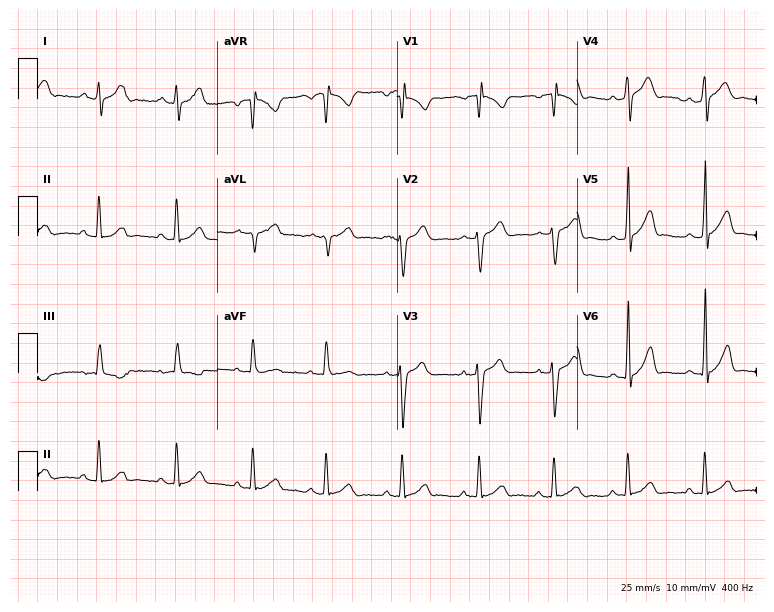
ECG — a male patient, 20 years old. Screened for six findings — first-degree AV block, right bundle branch block (RBBB), left bundle branch block (LBBB), sinus bradycardia, atrial fibrillation (AF), sinus tachycardia — none is recorded. Only these six findings were labelled.